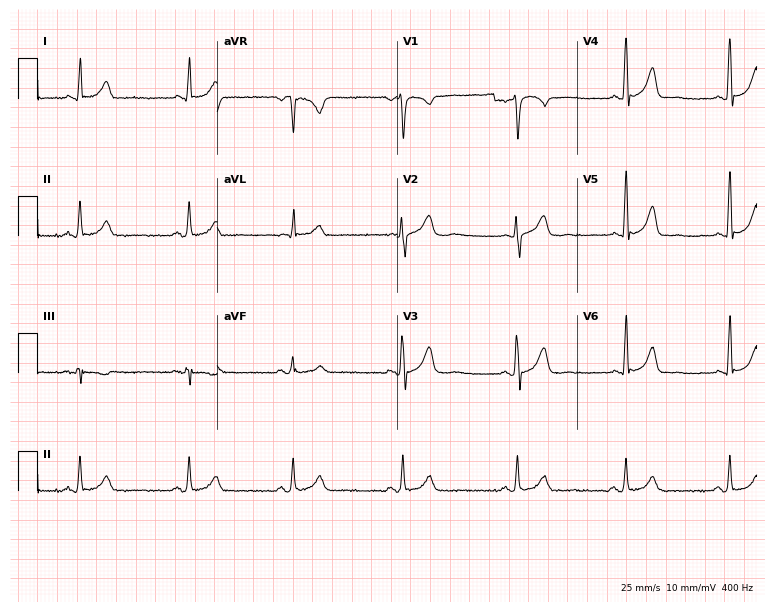
Resting 12-lead electrocardiogram (7.3-second recording at 400 Hz). Patient: a female, 41 years old. Read as a normal ECG.